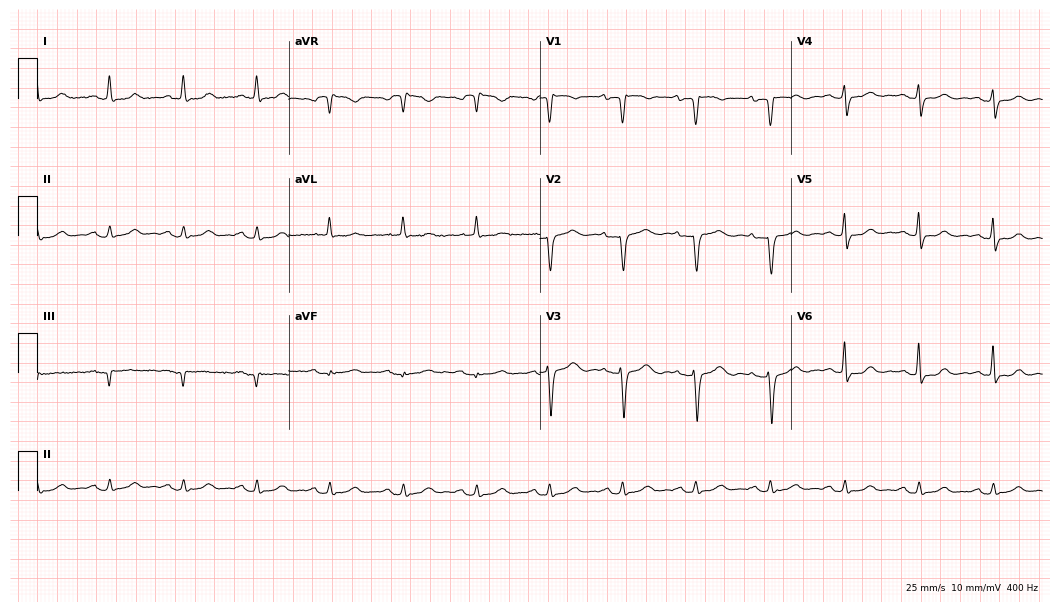
12-lead ECG from a 67-year-old woman. No first-degree AV block, right bundle branch block, left bundle branch block, sinus bradycardia, atrial fibrillation or sinus tachycardia recorded for this tracing. Findings outside these six are not listed.